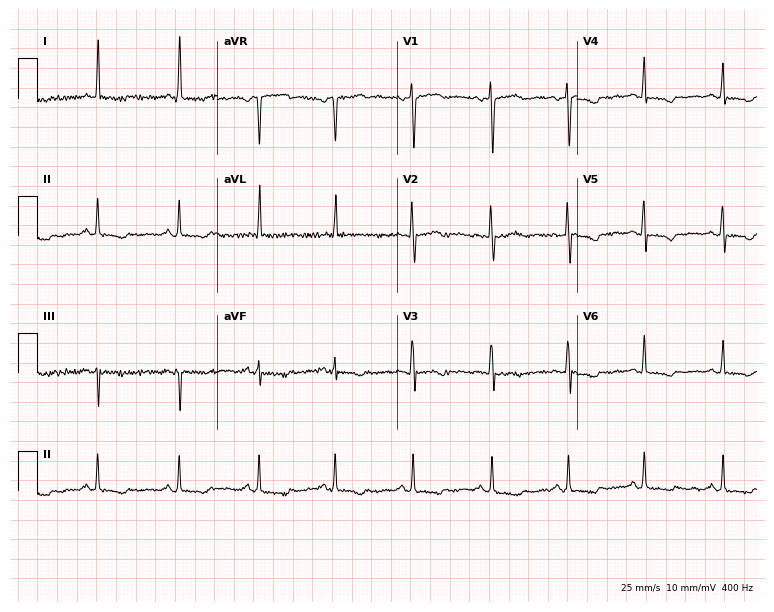
ECG (7.3-second recording at 400 Hz) — a female patient, 52 years old. Screened for six findings — first-degree AV block, right bundle branch block, left bundle branch block, sinus bradycardia, atrial fibrillation, sinus tachycardia — none is recorded. Findings outside these six are not listed.